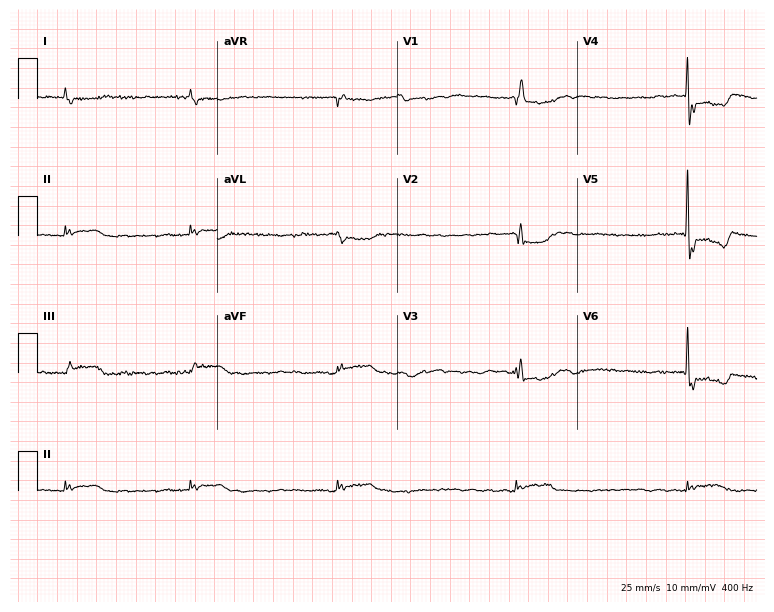
12-lead ECG from a male, 85 years old. Findings include right bundle branch block, atrial fibrillation.